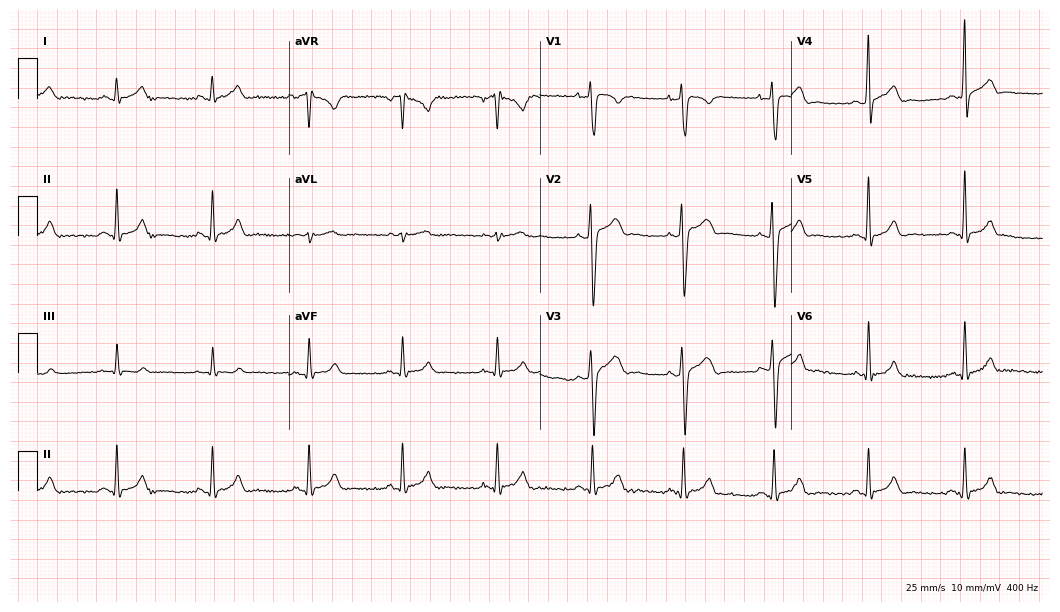
ECG (10.2-second recording at 400 Hz) — a male patient, 26 years old. Labelled as a normal ECG.